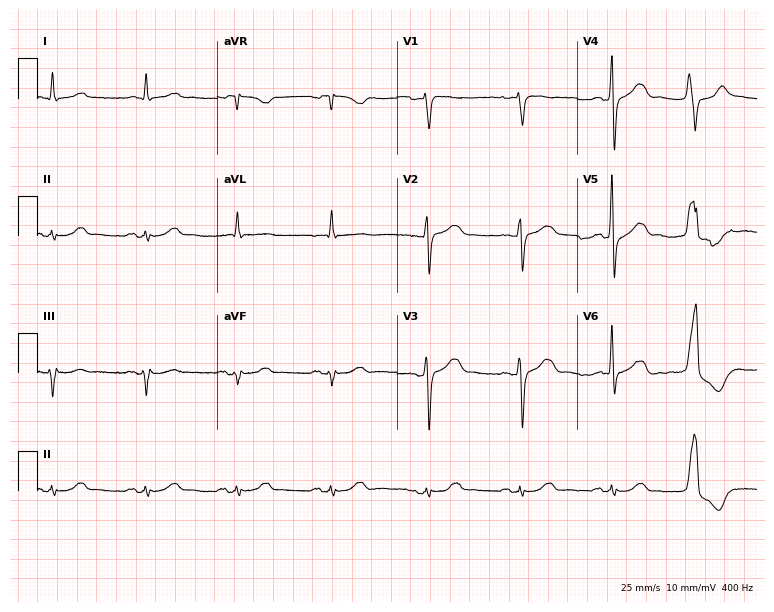
Resting 12-lead electrocardiogram (7.3-second recording at 400 Hz). Patient: an 81-year-old man. None of these six findings is recorded: first-degree AV block, right bundle branch block (RBBB), left bundle branch block (LBBB), sinus bradycardia, atrial fibrillation (AF), sinus tachycardia. Only these six findings were labelled.